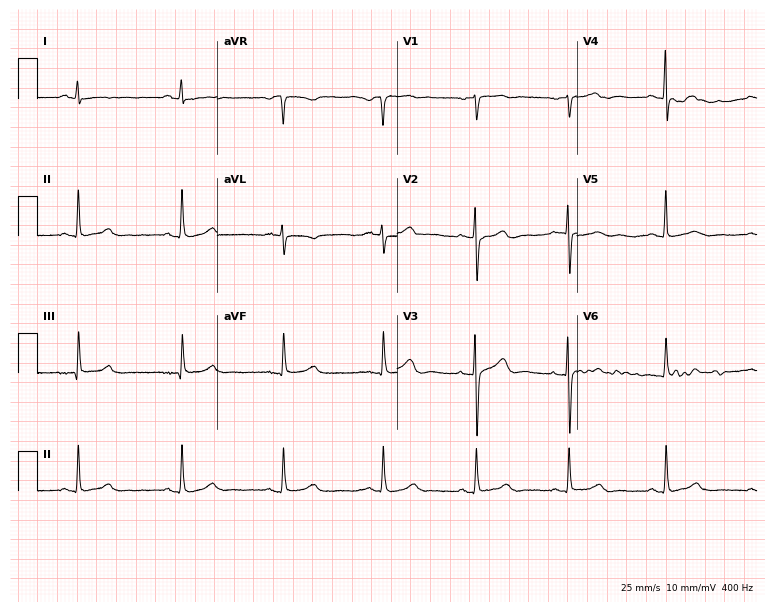
12-lead ECG from a female patient, 62 years old (7.3-second recording at 400 Hz). No first-degree AV block, right bundle branch block, left bundle branch block, sinus bradycardia, atrial fibrillation or sinus tachycardia recorded for this tracing.